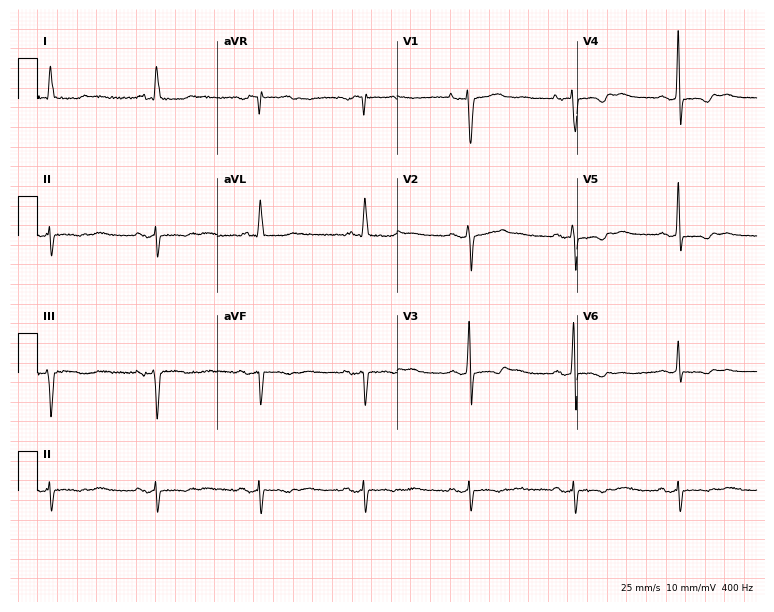
Resting 12-lead electrocardiogram. Patient: a woman, 64 years old. None of these six findings is recorded: first-degree AV block, right bundle branch block, left bundle branch block, sinus bradycardia, atrial fibrillation, sinus tachycardia.